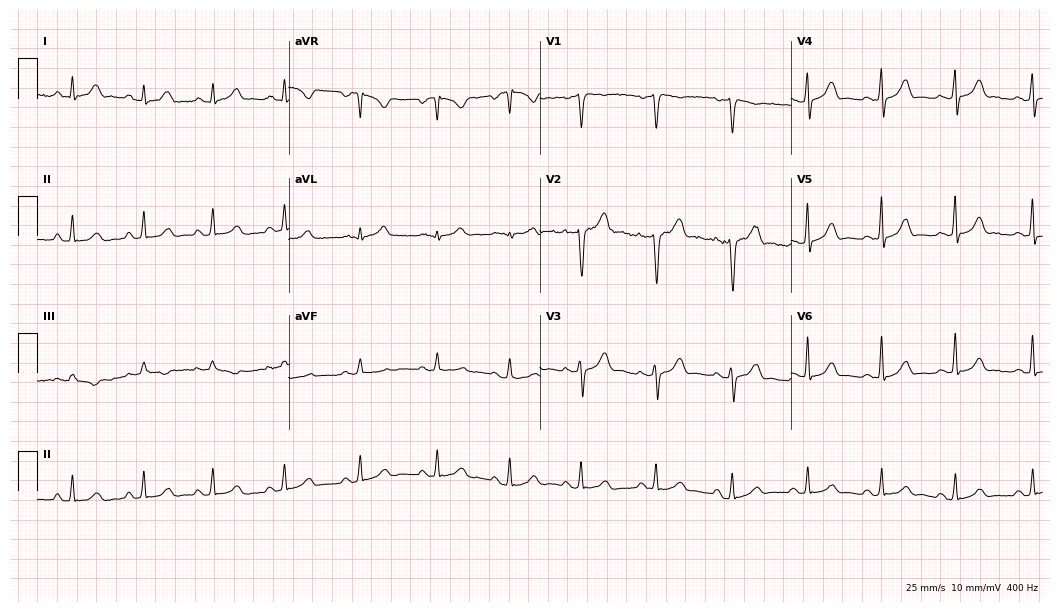
12-lead ECG from a female patient, 45 years old (10.2-second recording at 400 Hz). Recorded interpretation: within normal limits.